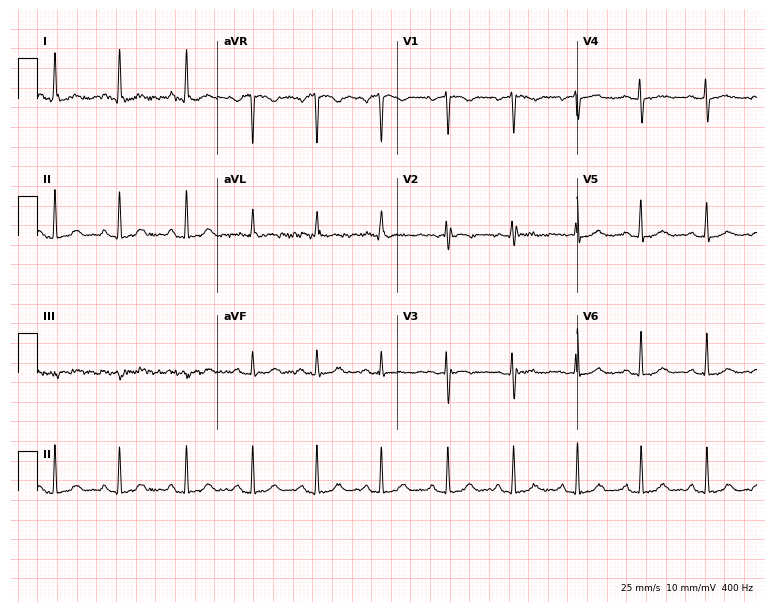
Resting 12-lead electrocardiogram. Patient: a 41-year-old woman. Read as a normal ECG.